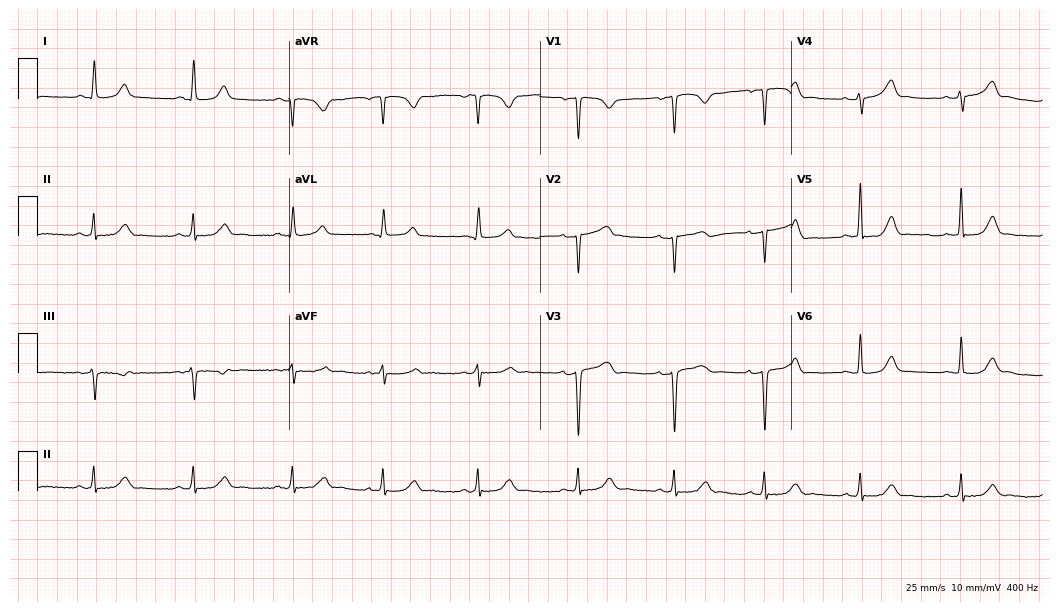
ECG — a woman, 48 years old. Screened for six findings — first-degree AV block, right bundle branch block, left bundle branch block, sinus bradycardia, atrial fibrillation, sinus tachycardia — none is recorded. Only these six findings were labelled.